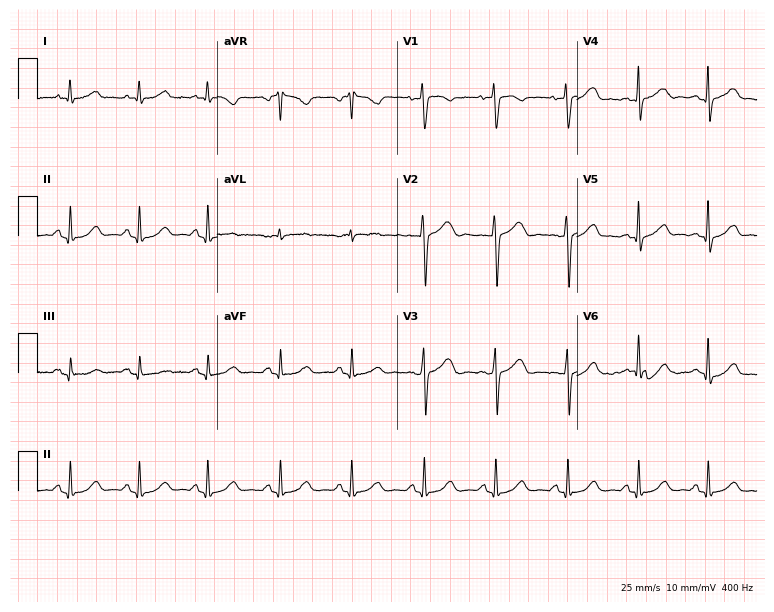
ECG — a woman, 28 years old. Labelled as a normal ECG.